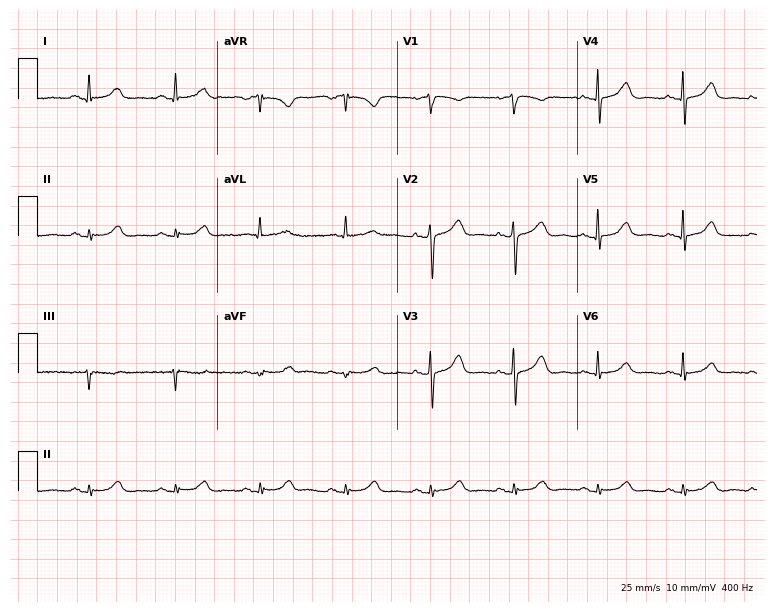
12-lead ECG (7.3-second recording at 400 Hz) from a 70-year-old woman. Labelled as a normal ECG.